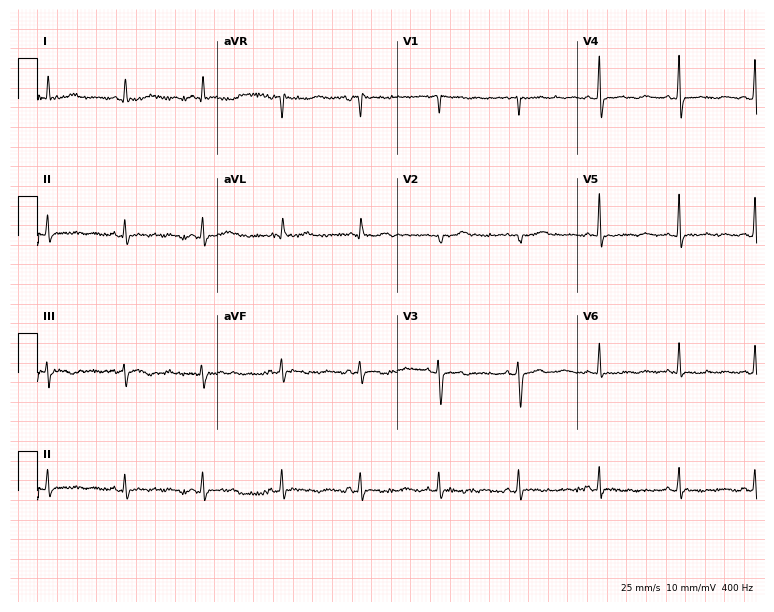
Electrocardiogram, a woman, 63 years old. Of the six screened findings (first-degree AV block, right bundle branch block, left bundle branch block, sinus bradycardia, atrial fibrillation, sinus tachycardia), none is recorded.